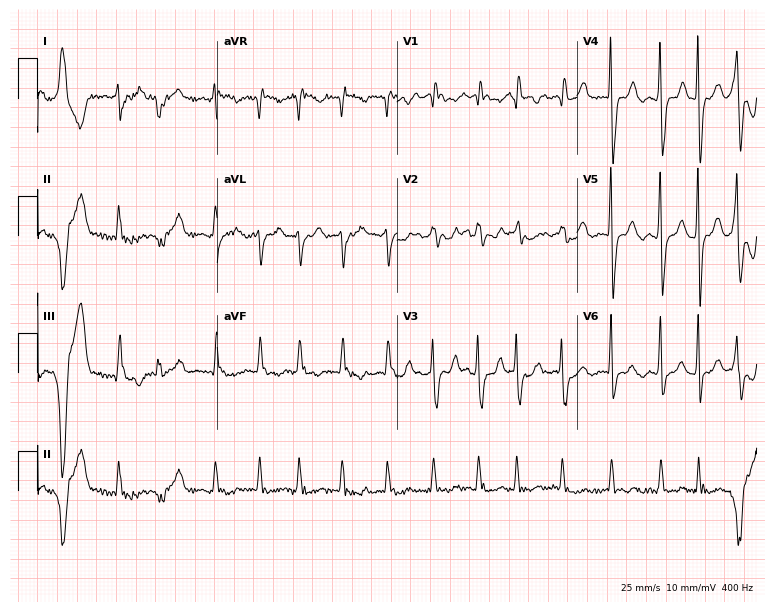
12-lead ECG from a 66-year-old female patient. Shows atrial fibrillation.